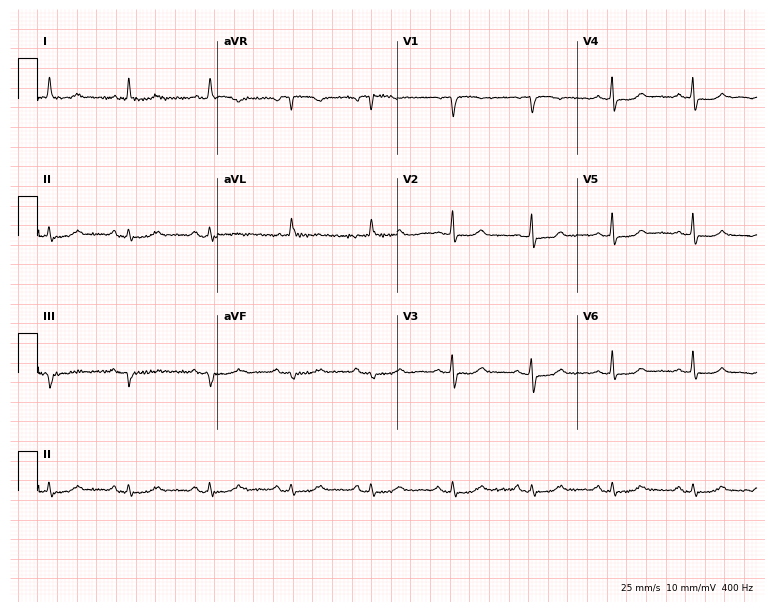
ECG (7.3-second recording at 400 Hz) — a 65-year-old female. Labelled as a normal ECG.